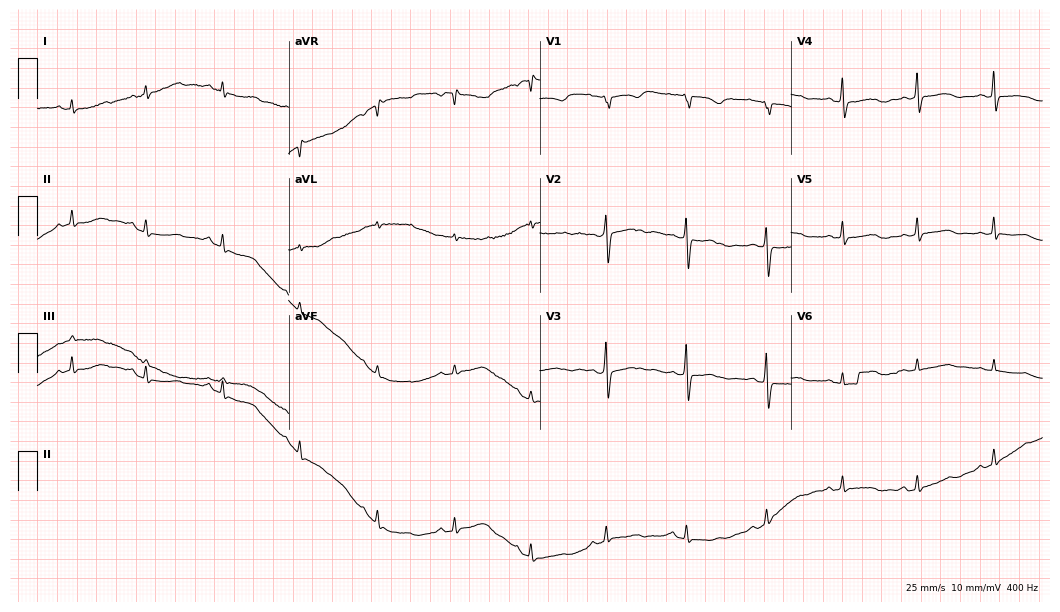
Standard 12-lead ECG recorded from a woman, 50 years old. None of these six findings is recorded: first-degree AV block, right bundle branch block, left bundle branch block, sinus bradycardia, atrial fibrillation, sinus tachycardia. Findings outside these six are not listed.